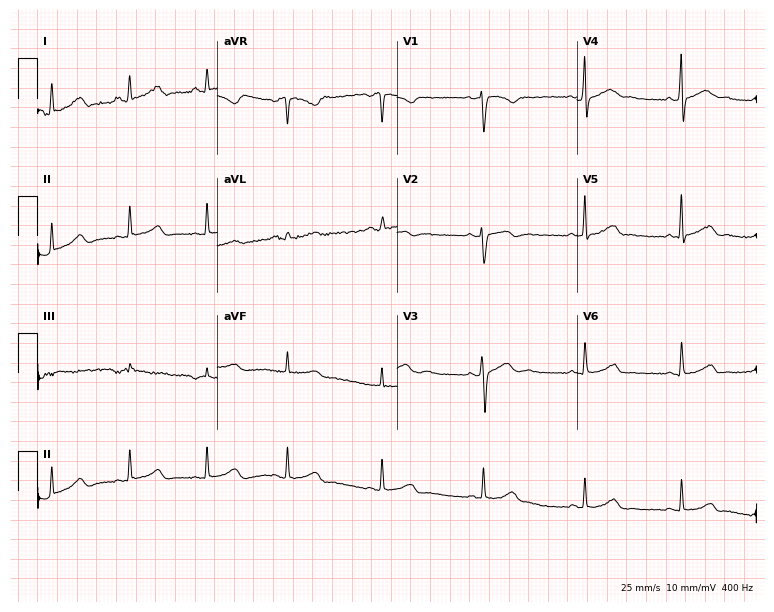
ECG — a female patient, 31 years old. Screened for six findings — first-degree AV block, right bundle branch block (RBBB), left bundle branch block (LBBB), sinus bradycardia, atrial fibrillation (AF), sinus tachycardia — none is recorded. Only these six findings were labelled.